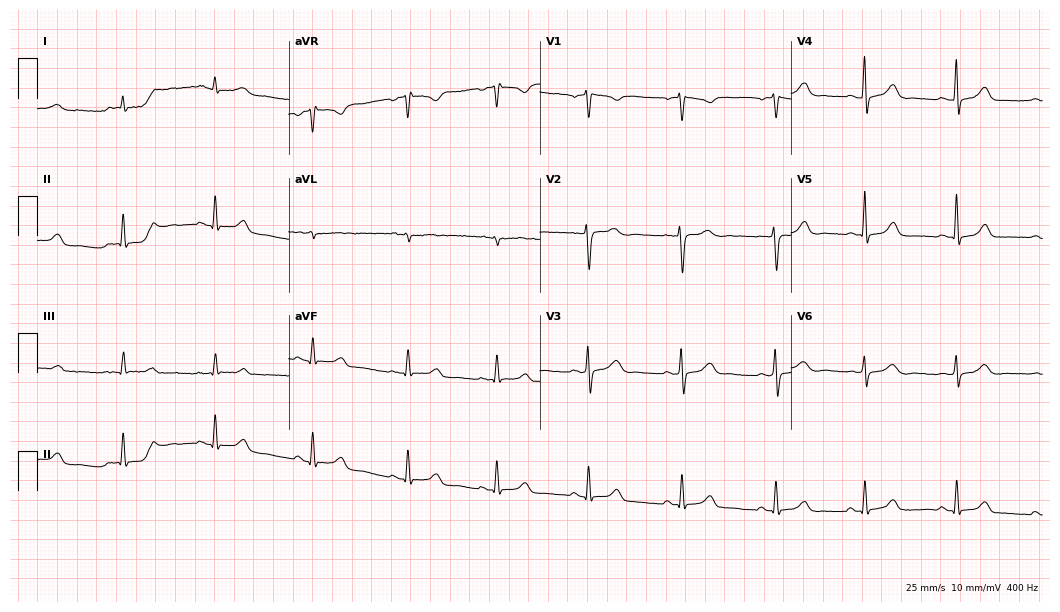
12-lead ECG from a woman, 37 years old (10.2-second recording at 400 Hz). No first-degree AV block, right bundle branch block (RBBB), left bundle branch block (LBBB), sinus bradycardia, atrial fibrillation (AF) or sinus tachycardia recorded for this tracing. Findings outside these six are not listed.